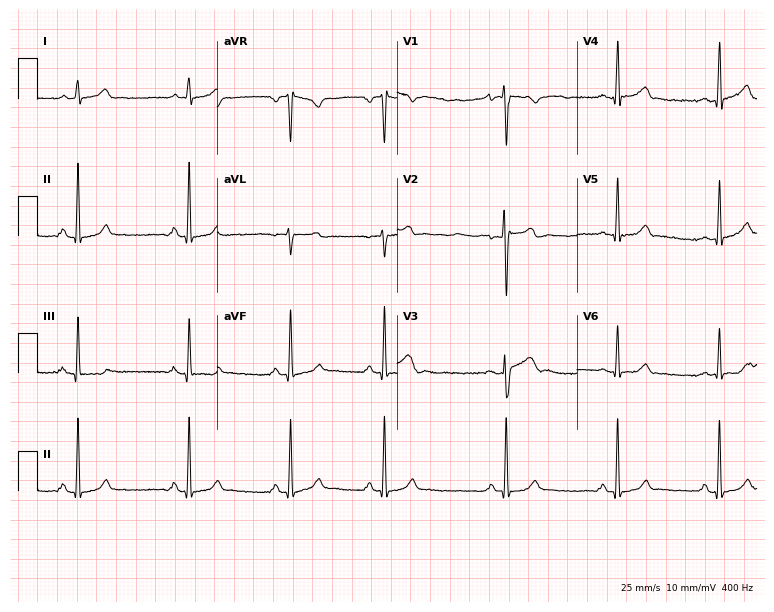
Electrocardiogram (7.3-second recording at 400 Hz), a woman, 36 years old. Of the six screened findings (first-degree AV block, right bundle branch block, left bundle branch block, sinus bradycardia, atrial fibrillation, sinus tachycardia), none is recorded. Findings outside these six are not listed.